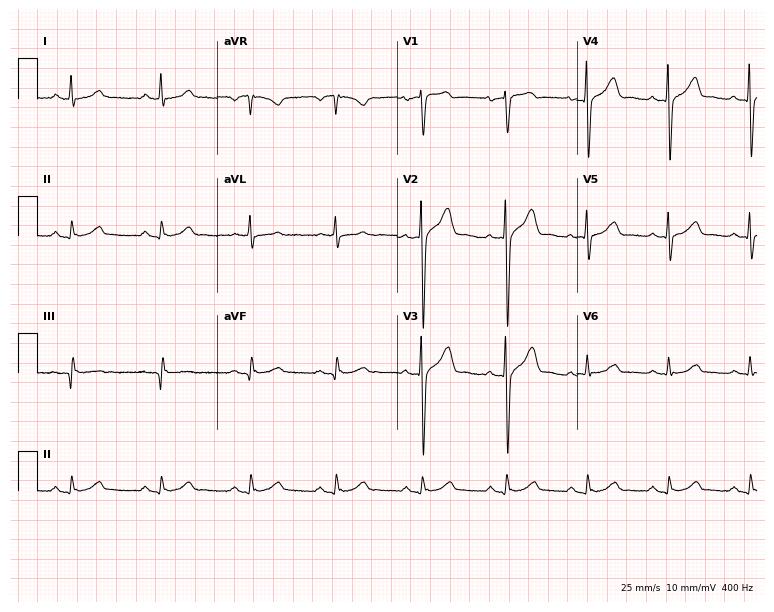
Resting 12-lead electrocardiogram. Patient: a 48-year-old man. None of these six findings is recorded: first-degree AV block, right bundle branch block (RBBB), left bundle branch block (LBBB), sinus bradycardia, atrial fibrillation (AF), sinus tachycardia. Other findings, if any, are not listed.